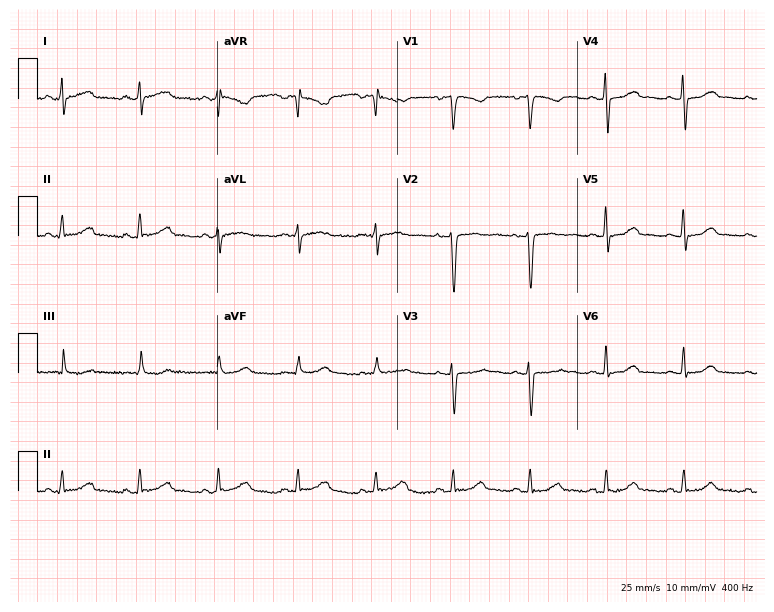
12-lead ECG (7.3-second recording at 400 Hz) from a 43-year-old woman. Screened for six findings — first-degree AV block, right bundle branch block, left bundle branch block, sinus bradycardia, atrial fibrillation, sinus tachycardia — none is recorded. Only these six findings were labelled.